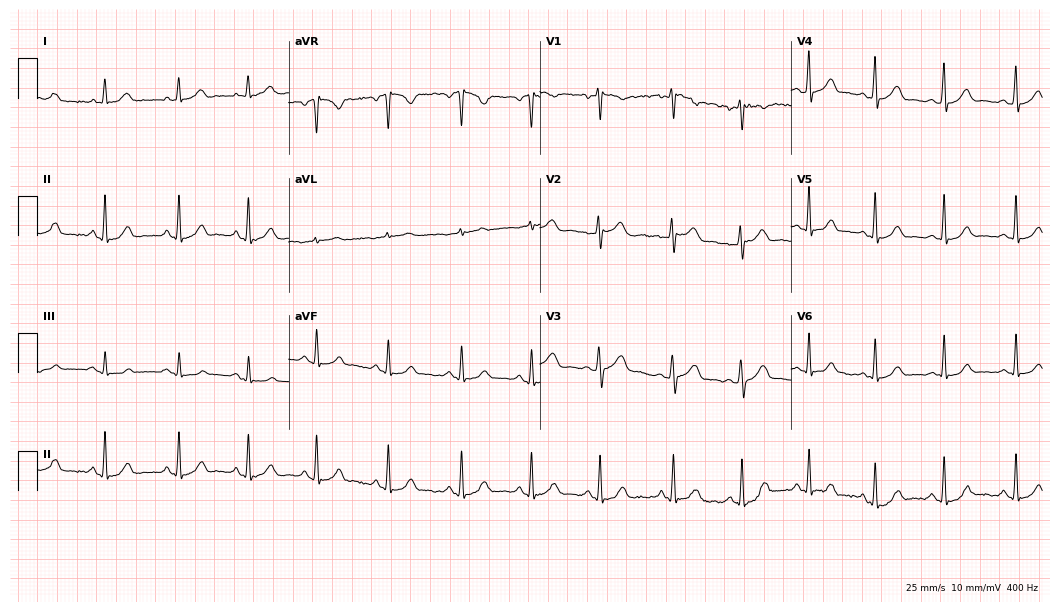
12-lead ECG (10.2-second recording at 400 Hz) from a woman, 29 years old. Screened for six findings — first-degree AV block, right bundle branch block, left bundle branch block, sinus bradycardia, atrial fibrillation, sinus tachycardia — none is recorded.